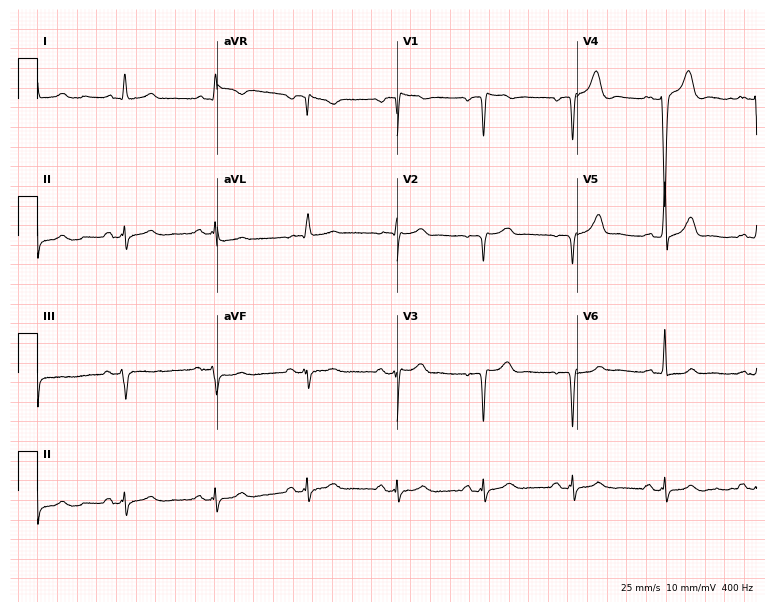
12-lead ECG (7.3-second recording at 400 Hz) from a male, 62 years old. Screened for six findings — first-degree AV block, right bundle branch block, left bundle branch block, sinus bradycardia, atrial fibrillation, sinus tachycardia — none is recorded. Findings outside these six are not listed.